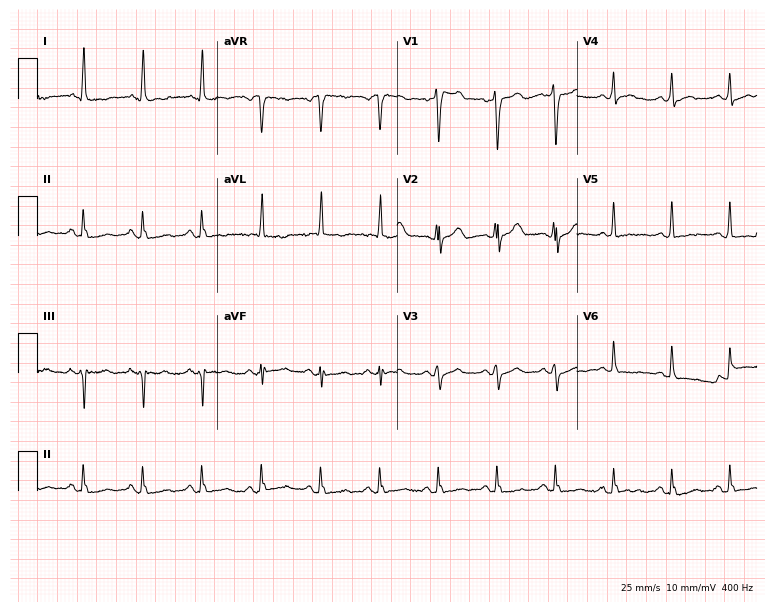
Resting 12-lead electrocardiogram (7.3-second recording at 400 Hz). Patient: an 81-year-old male. None of these six findings is recorded: first-degree AV block, right bundle branch block, left bundle branch block, sinus bradycardia, atrial fibrillation, sinus tachycardia.